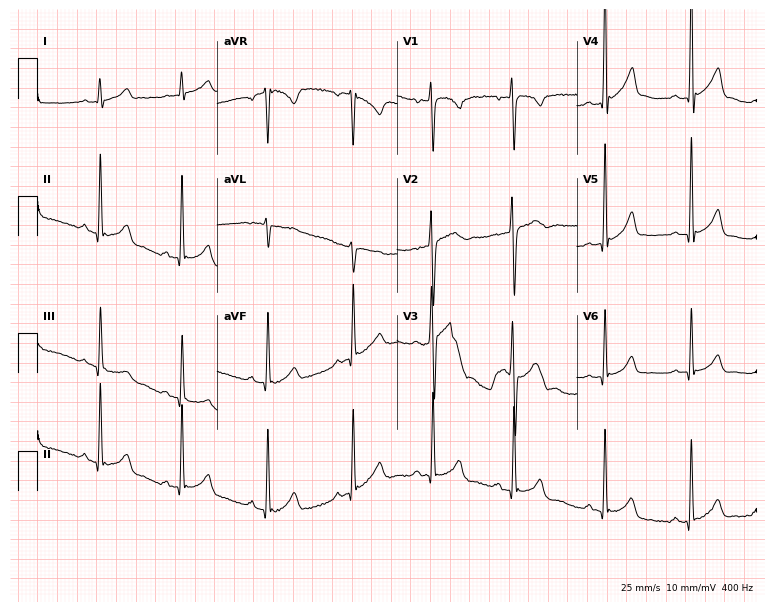
Standard 12-lead ECG recorded from a 17-year-old man (7.3-second recording at 400 Hz). None of these six findings is recorded: first-degree AV block, right bundle branch block, left bundle branch block, sinus bradycardia, atrial fibrillation, sinus tachycardia.